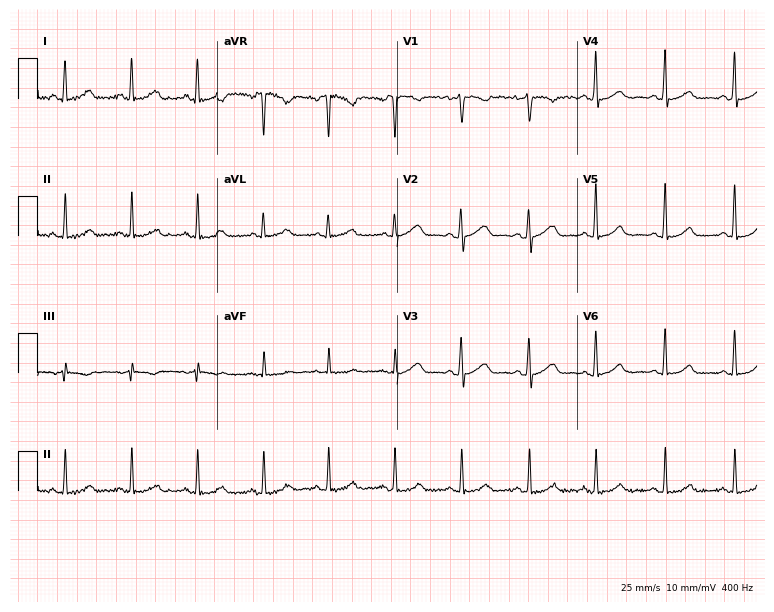
ECG (7.3-second recording at 400 Hz) — a 48-year-old female. Labelled as a normal ECG.